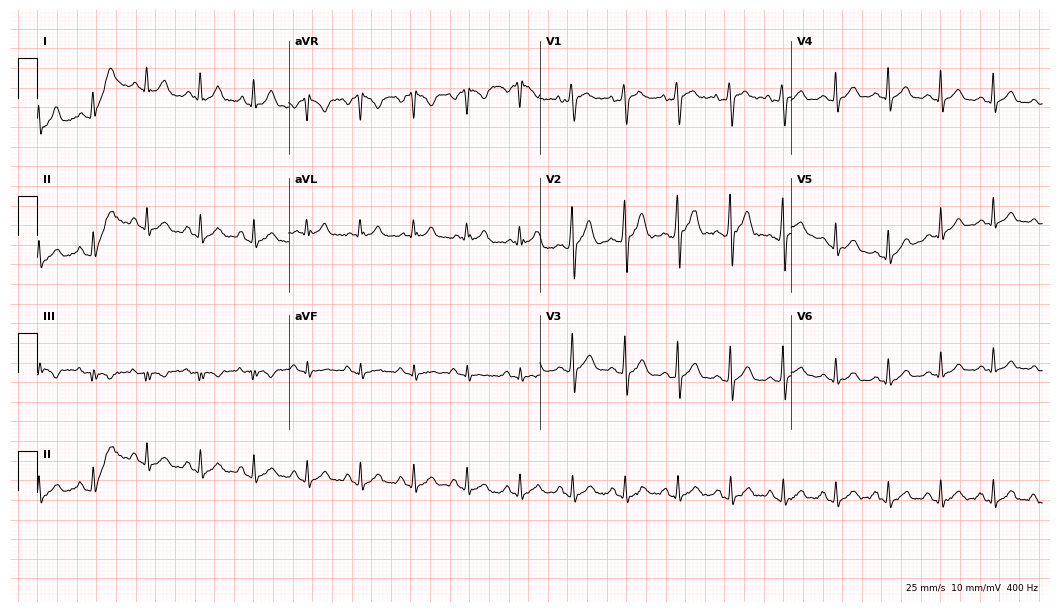
Standard 12-lead ECG recorded from a male patient, 33 years old (10.2-second recording at 400 Hz). The tracing shows sinus tachycardia (a sinus rate of 100 beats per minute or more).